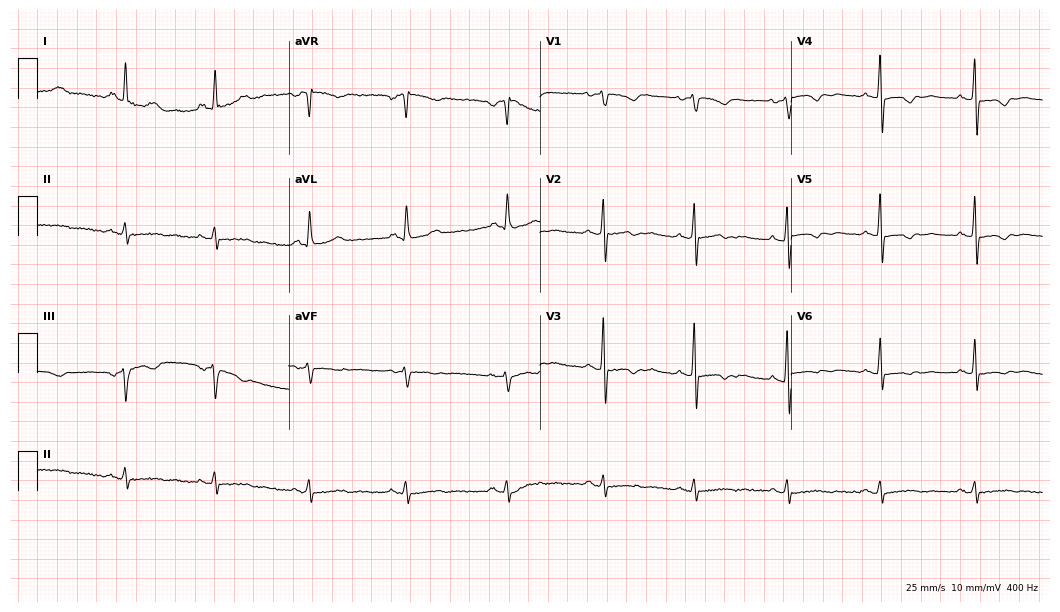
Resting 12-lead electrocardiogram (10.2-second recording at 400 Hz). Patient: a female, 53 years old. None of these six findings is recorded: first-degree AV block, right bundle branch block, left bundle branch block, sinus bradycardia, atrial fibrillation, sinus tachycardia. Findings outside these six are not listed.